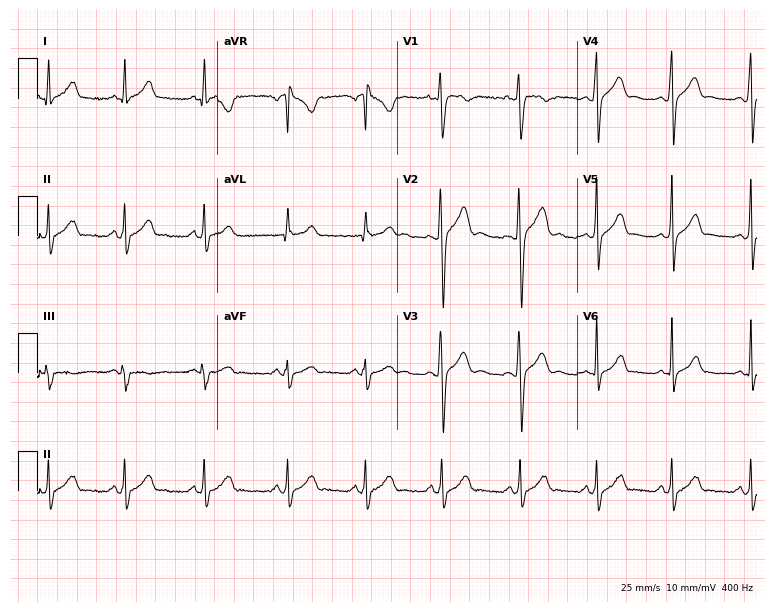
ECG (7.3-second recording at 400 Hz) — a woman, 21 years old. Labelled as a normal ECG.